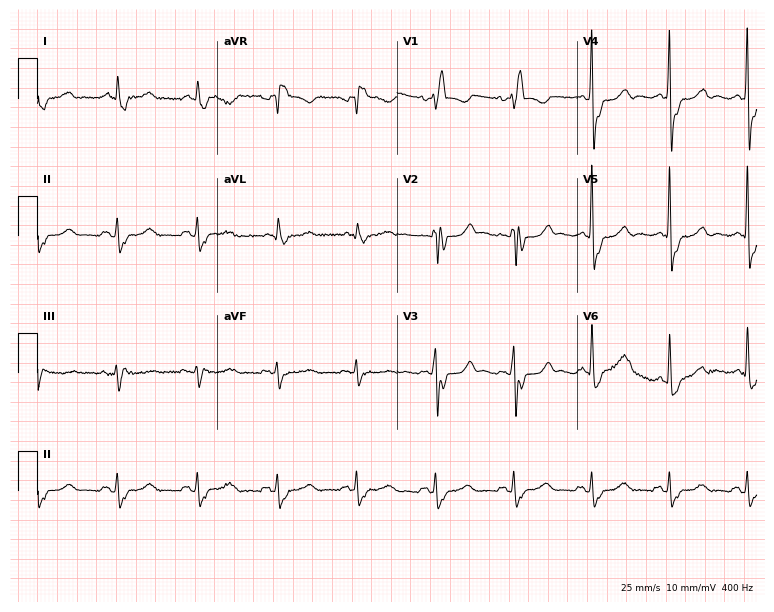
ECG — a 77-year-old woman. Screened for six findings — first-degree AV block, right bundle branch block, left bundle branch block, sinus bradycardia, atrial fibrillation, sinus tachycardia — none is recorded. Findings outside these six are not listed.